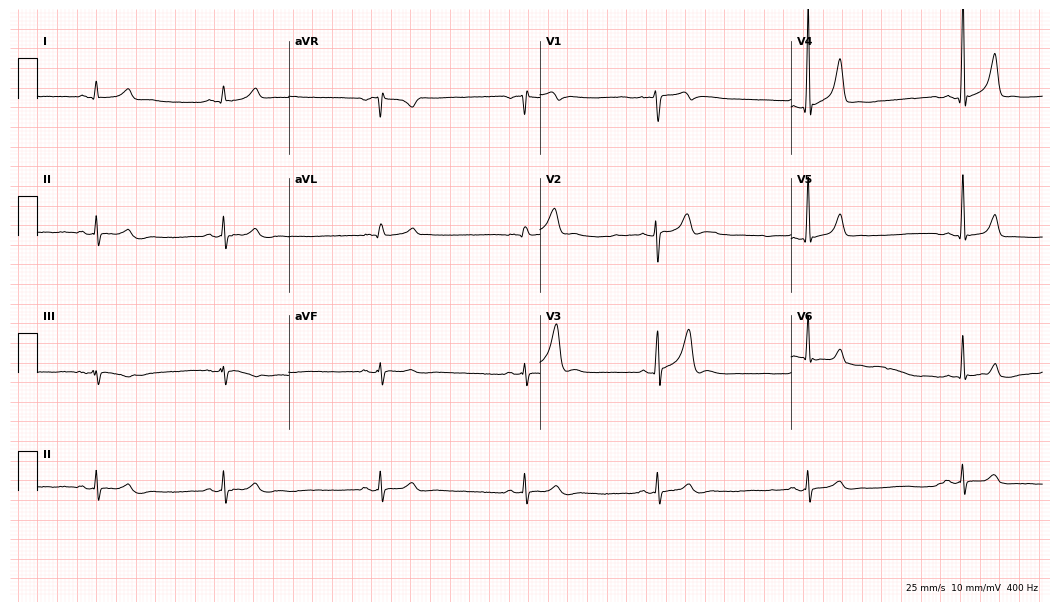
ECG — a male, 22 years old. Findings include sinus bradycardia (a sinus rate of 50 beats per minute or less).